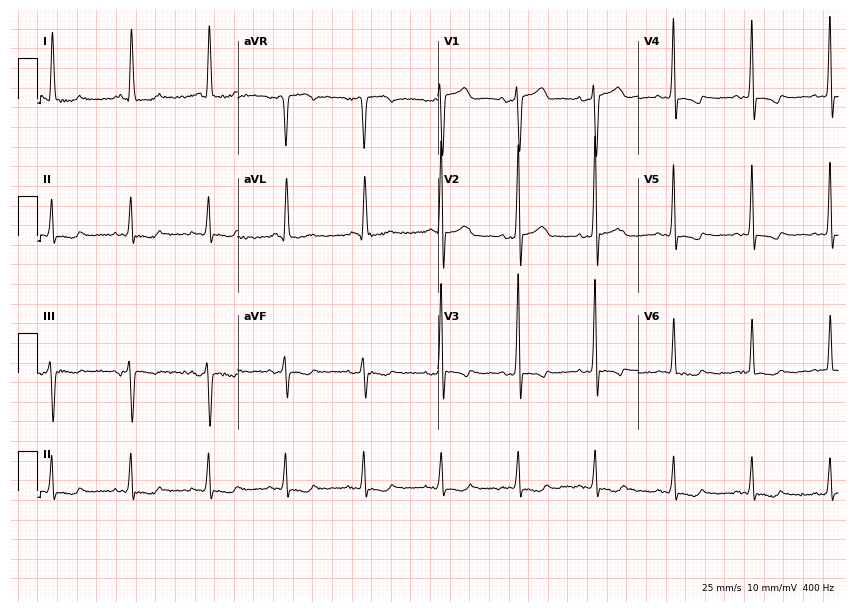
Electrocardiogram, a woman, 77 years old. Of the six screened findings (first-degree AV block, right bundle branch block, left bundle branch block, sinus bradycardia, atrial fibrillation, sinus tachycardia), none is recorded. Only these six findings were labelled.